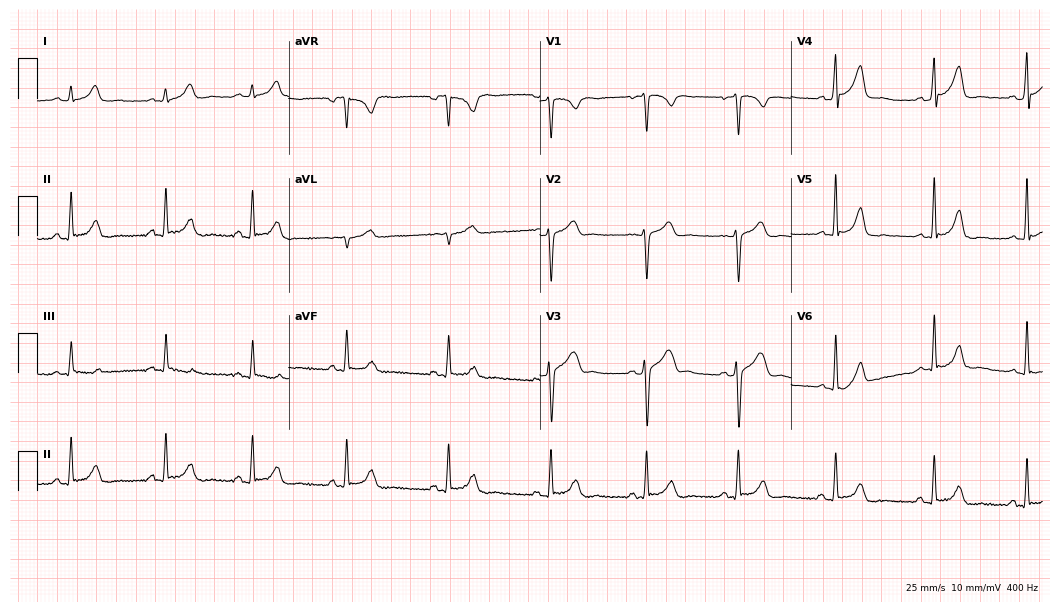
12-lead ECG (10.2-second recording at 400 Hz) from a 27-year-old female patient. Labelled as a normal ECG.